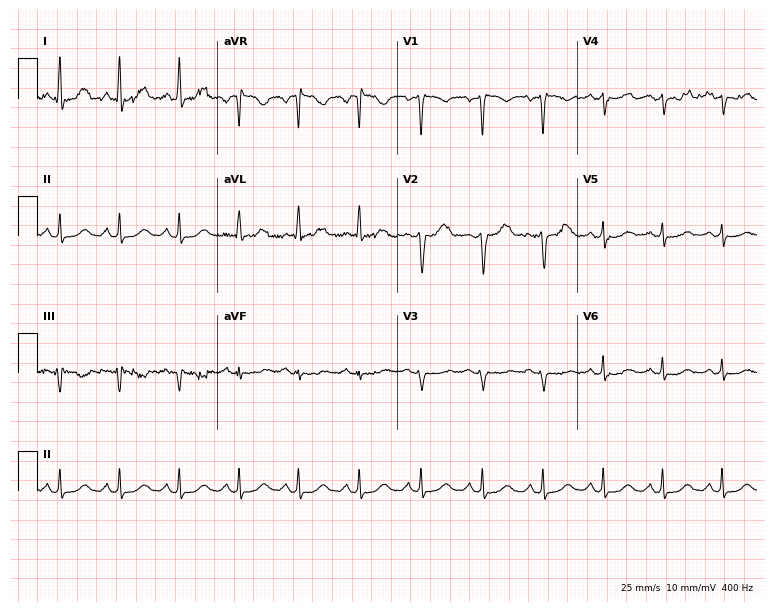
Standard 12-lead ECG recorded from a 43-year-old female. None of these six findings is recorded: first-degree AV block, right bundle branch block, left bundle branch block, sinus bradycardia, atrial fibrillation, sinus tachycardia. Other findings, if any, are not listed.